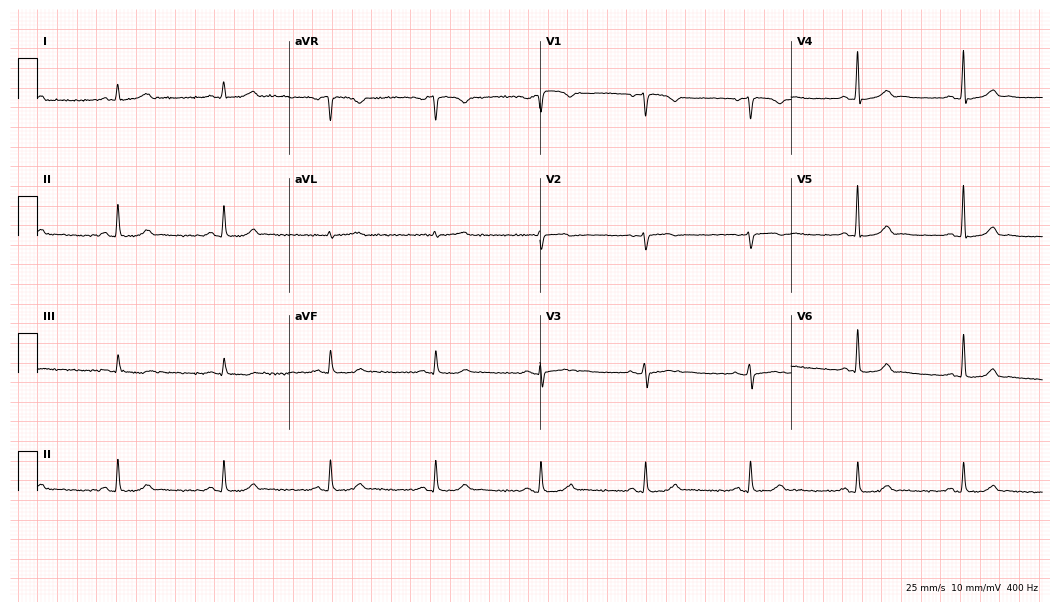
ECG — a 71-year-old woman. Screened for six findings — first-degree AV block, right bundle branch block, left bundle branch block, sinus bradycardia, atrial fibrillation, sinus tachycardia — none is recorded.